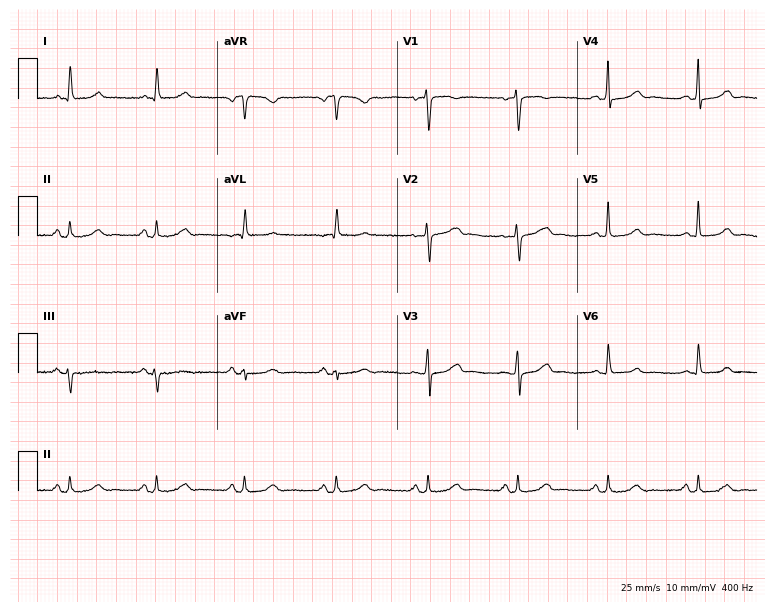
Standard 12-lead ECG recorded from a woman, 52 years old (7.3-second recording at 400 Hz). Read as a normal ECG.